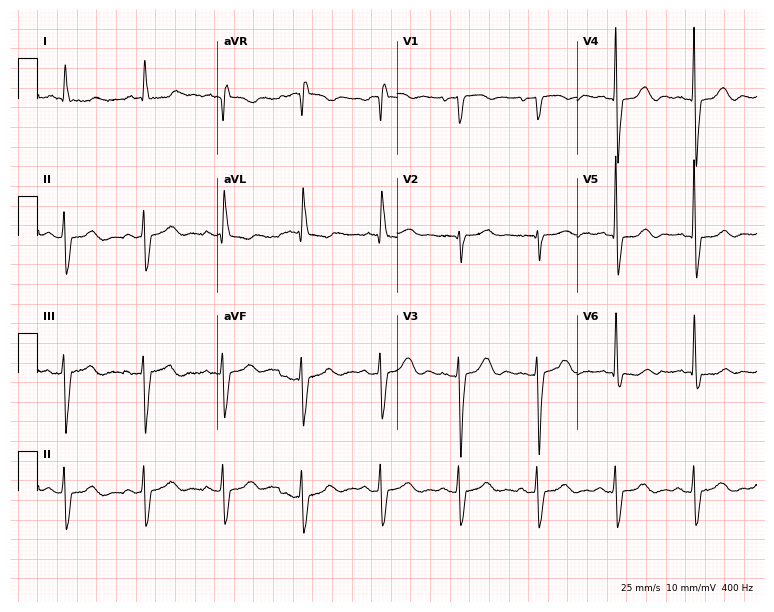
ECG (7.3-second recording at 400 Hz) — a 76-year-old woman. Screened for six findings — first-degree AV block, right bundle branch block, left bundle branch block, sinus bradycardia, atrial fibrillation, sinus tachycardia — none is recorded.